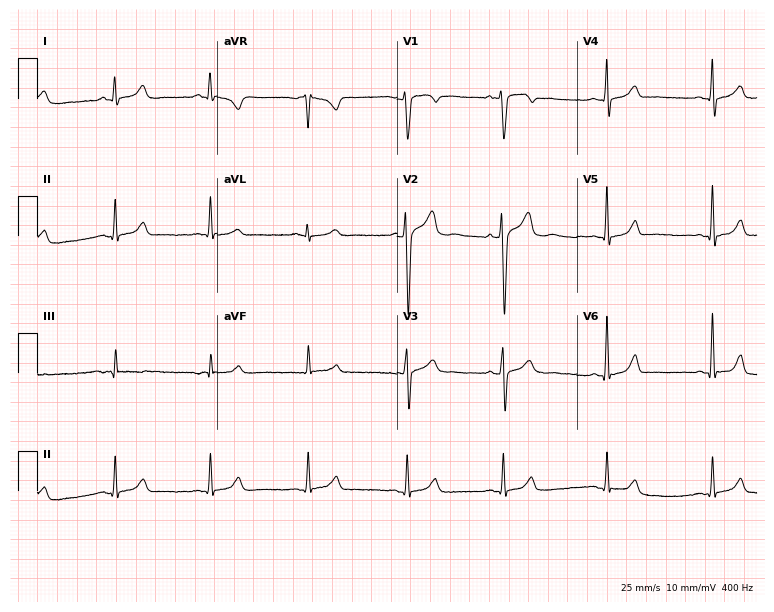
Resting 12-lead electrocardiogram. Patient: a 28-year-old male. Read as a normal ECG.